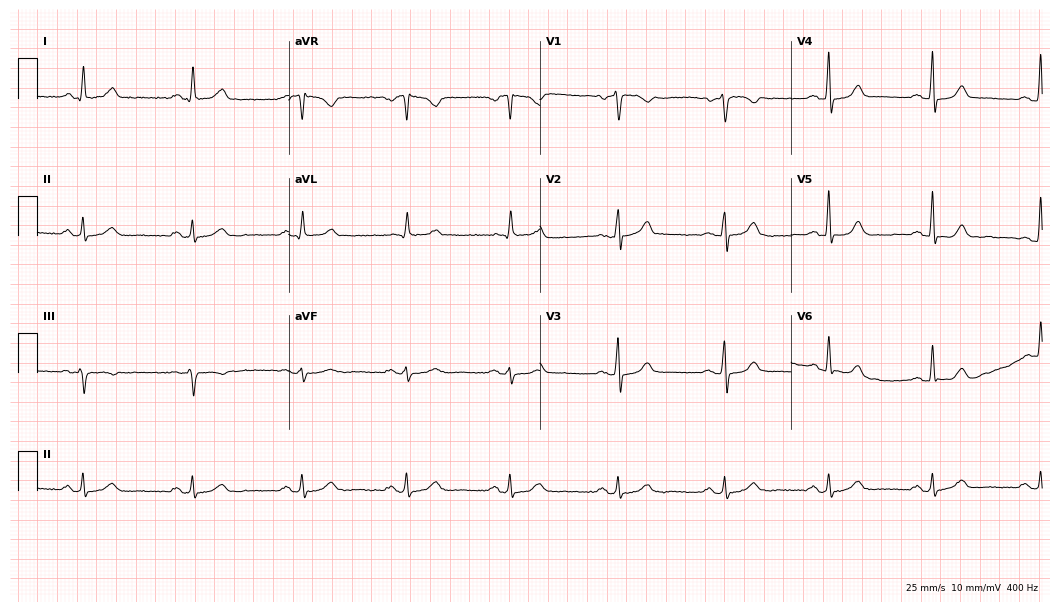
Resting 12-lead electrocardiogram (10.2-second recording at 400 Hz). Patient: a 59-year-old female. Read as a normal ECG.